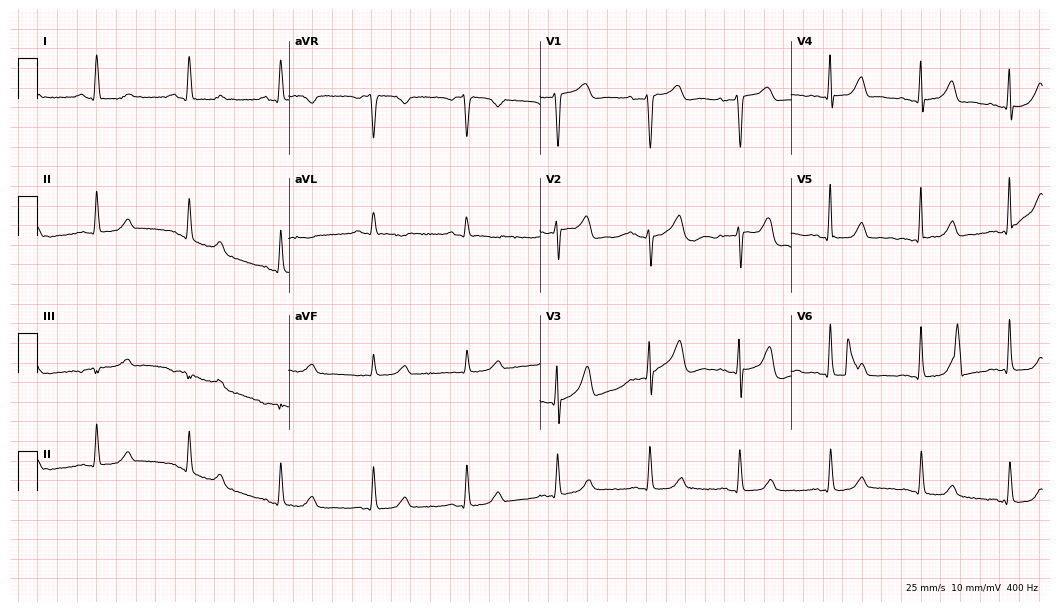
Resting 12-lead electrocardiogram (10.2-second recording at 400 Hz). Patient: a 62-year-old female. Read as a normal ECG.